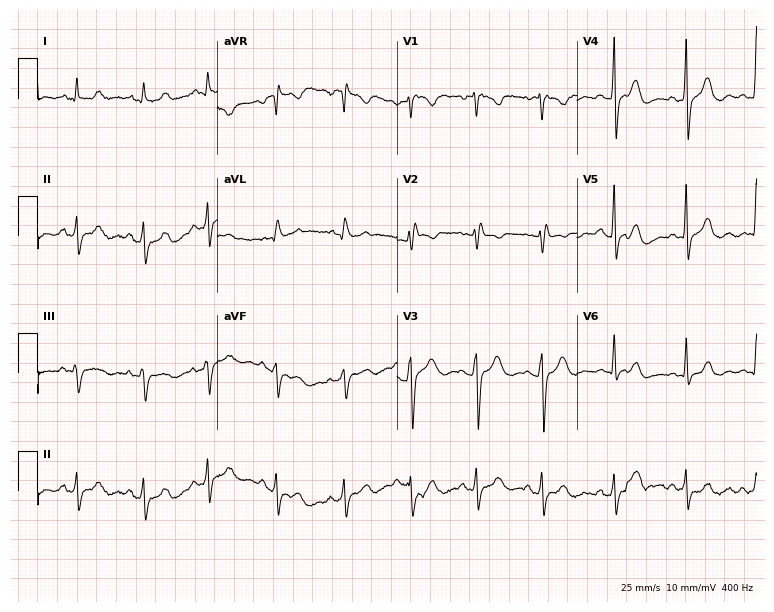
ECG (7.3-second recording at 400 Hz) — a female patient, 39 years old. Screened for six findings — first-degree AV block, right bundle branch block (RBBB), left bundle branch block (LBBB), sinus bradycardia, atrial fibrillation (AF), sinus tachycardia — none is recorded.